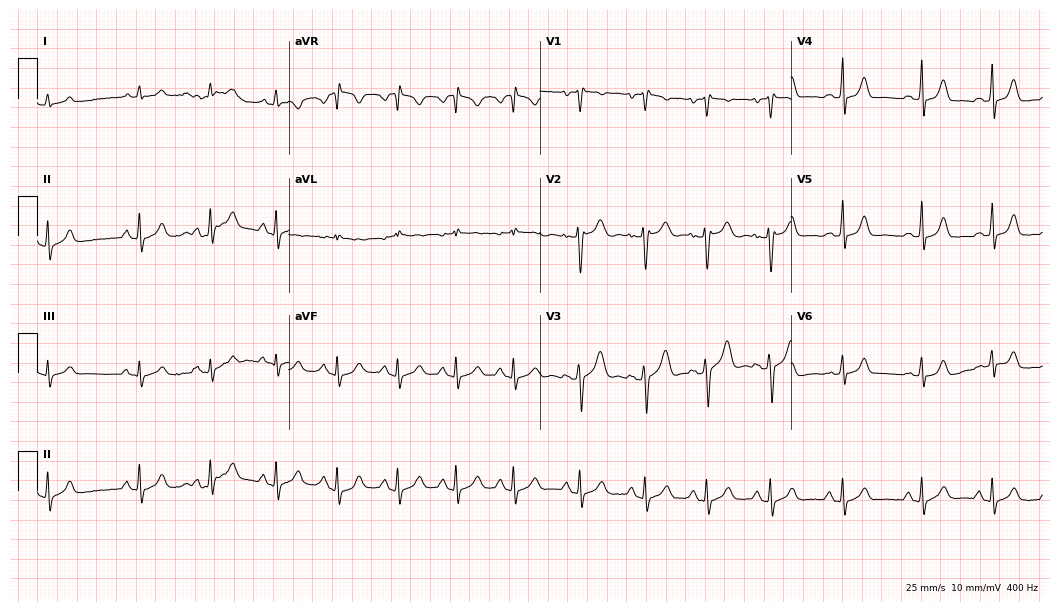
Resting 12-lead electrocardiogram (10.2-second recording at 400 Hz). Patient: a 26-year-old female. Read as a normal ECG.